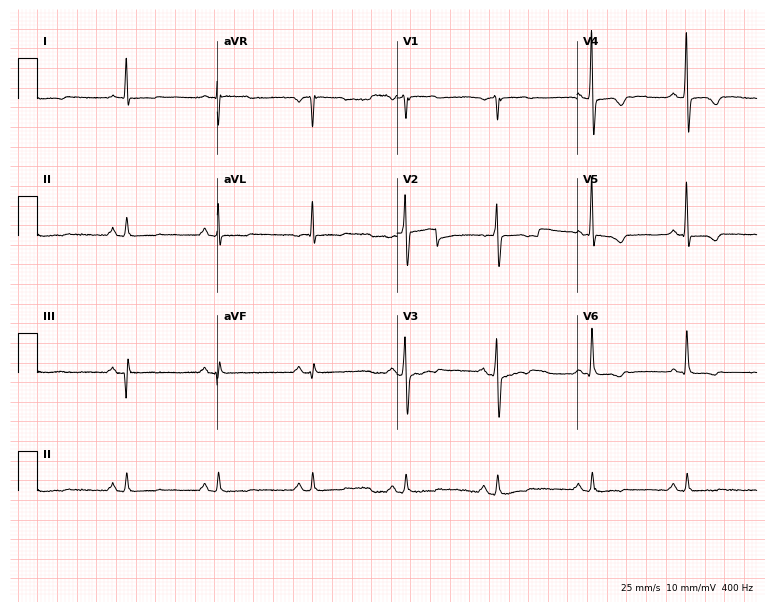
ECG — a 68-year-old man. Screened for six findings — first-degree AV block, right bundle branch block, left bundle branch block, sinus bradycardia, atrial fibrillation, sinus tachycardia — none is recorded.